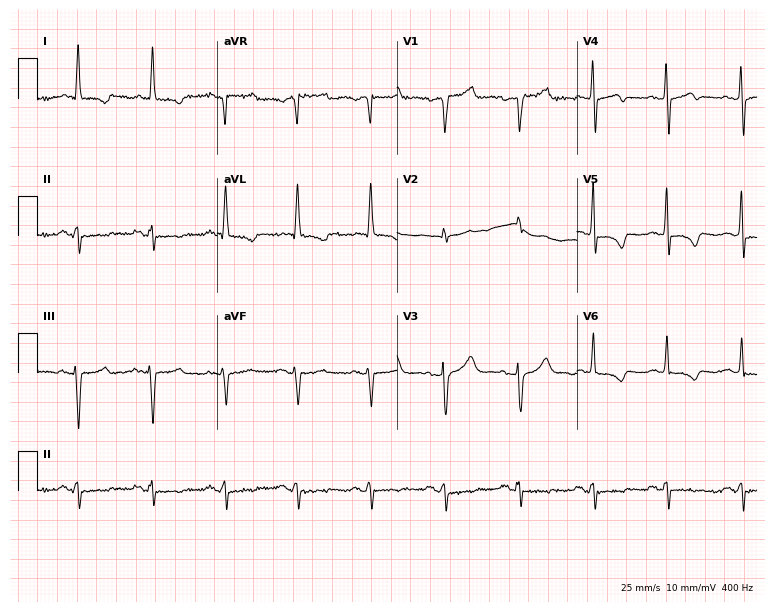
12-lead ECG (7.3-second recording at 400 Hz) from a 58-year-old male. Screened for six findings — first-degree AV block, right bundle branch block, left bundle branch block, sinus bradycardia, atrial fibrillation, sinus tachycardia — none is recorded. Findings outside these six are not listed.